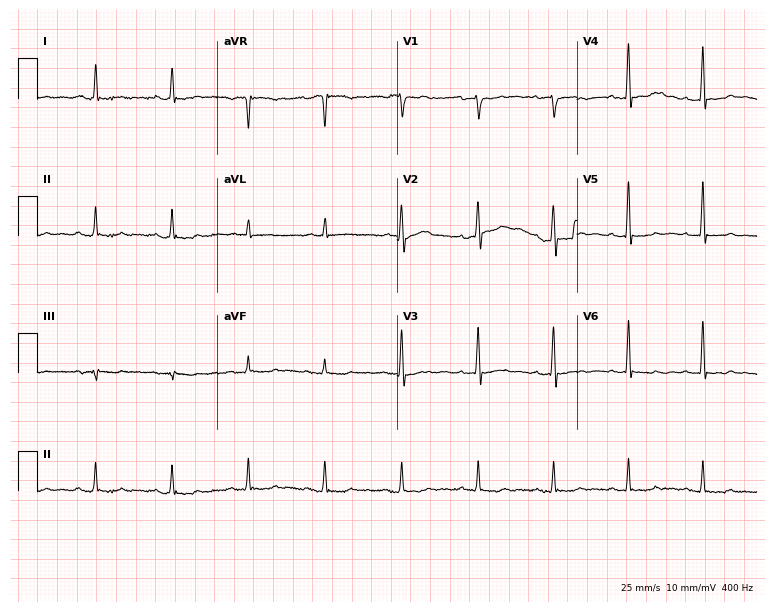
Electrocardiogram (7.3-second recording at 400 Hz), a male, 62 years old. Of the six screened findings (first-degree AV block, right bundle branch block, left bundle branch block, sinus bradycardia, atrial fibrillation, sinus tachycardia), none is recorded. Only these six findings were labelled.